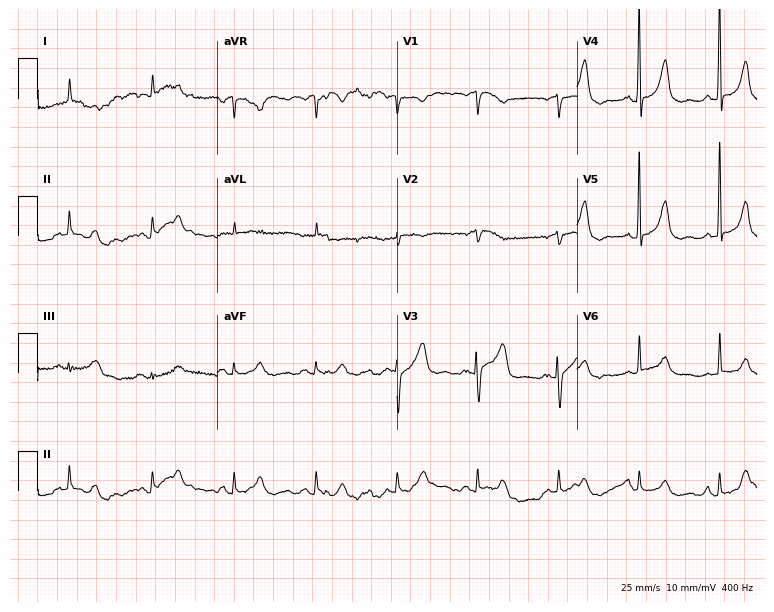
ECG (7.3-second recording at 400 Hz) — a 77-year-old female. Screened for six findings — first-degree AV block, right bundle branch block (RBBB), left bundle branch block (LBBB), sinus bradycardia, atrial fibrillation (AF), sinus tachycardia — none is recorded. Other findings, if any, are not listed.